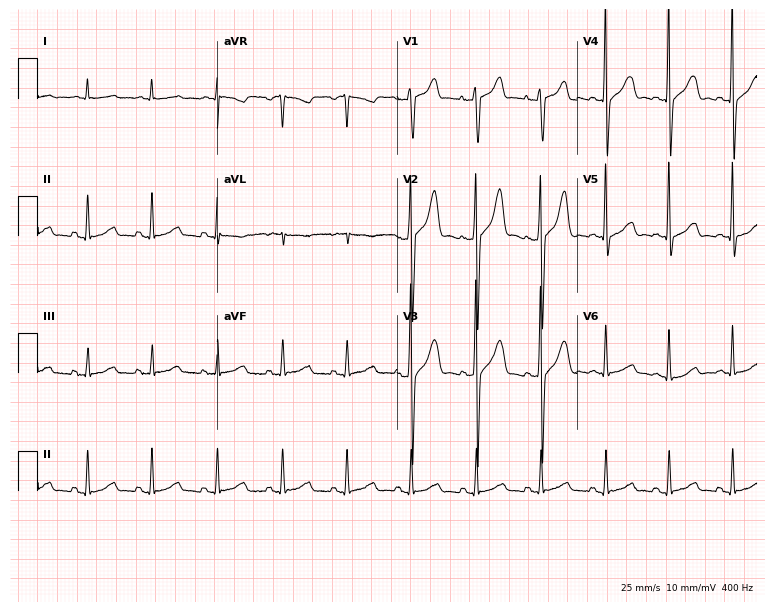
12-lead ECG from a 60-year-old male patient. Labelled as a normal ECG.